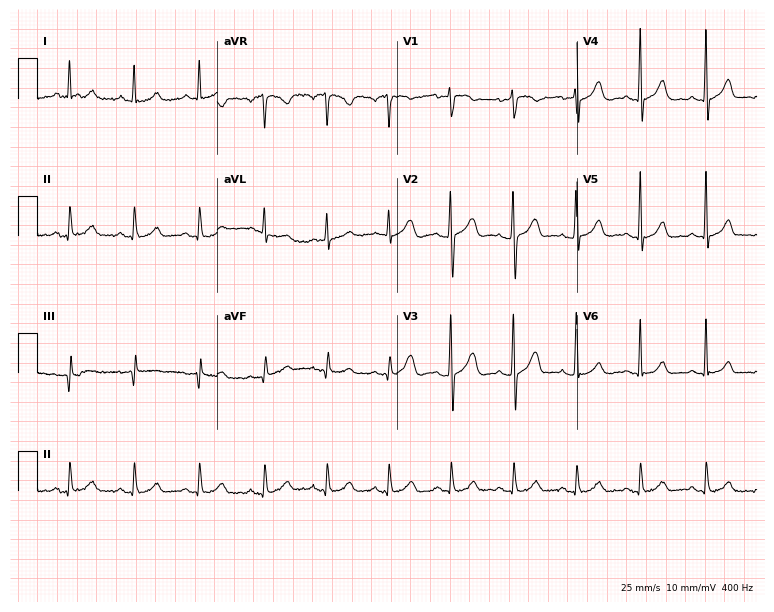
Resting 12-lead electrocardiogram. Patient: a 35-year-old female. None of these six findings is recorded: first-degree AV block, right bundle branch block, left bundle branch block, sinus bradycardia, atrial fibrillation, sinus tachycardia.